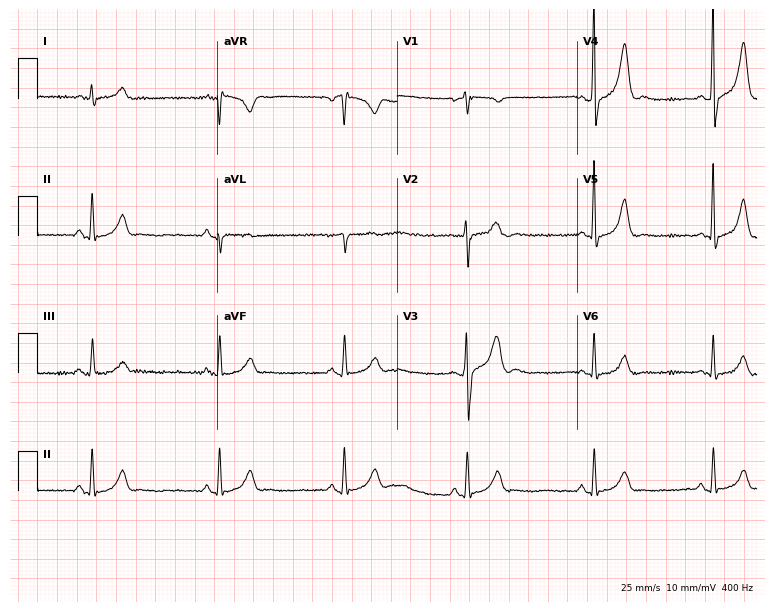
Electrocardiogram, a male, 28 years old. Interpretation includes sinus bradycardia (a sinus rate of 50 beats per minute or less).